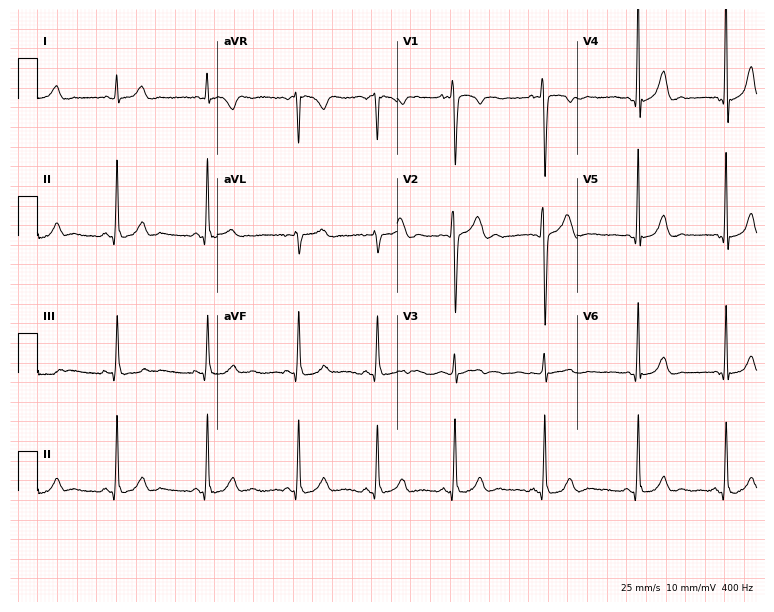
Resting 12-lead electrocardiogram. Patient: a man, 19 years old. Read as a normal ECG.